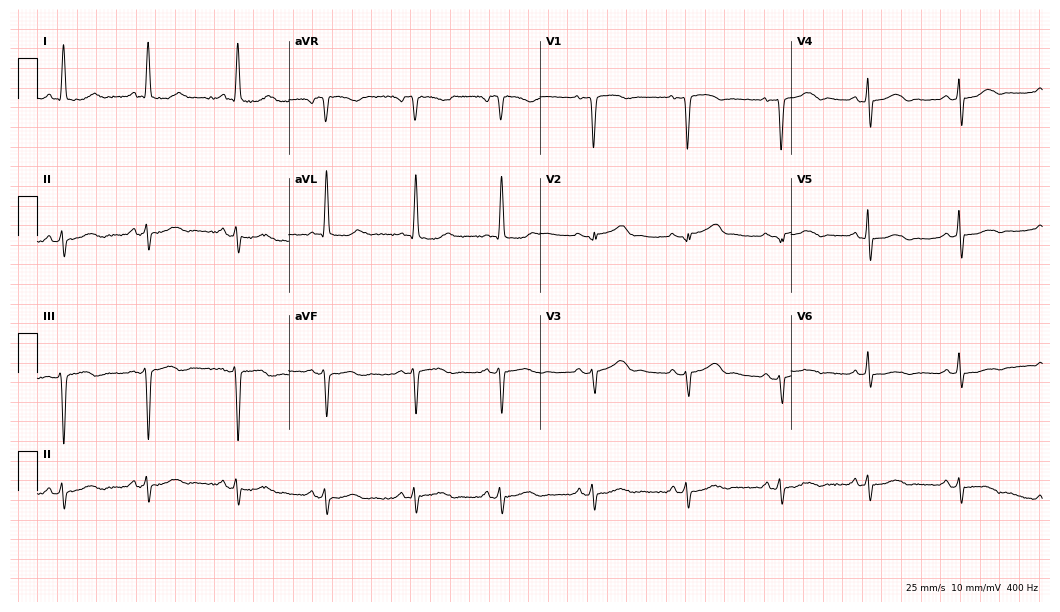
Resting 12-lead electrocardiogram. Patient: a 70-year-old female. Read as a normal ECG.